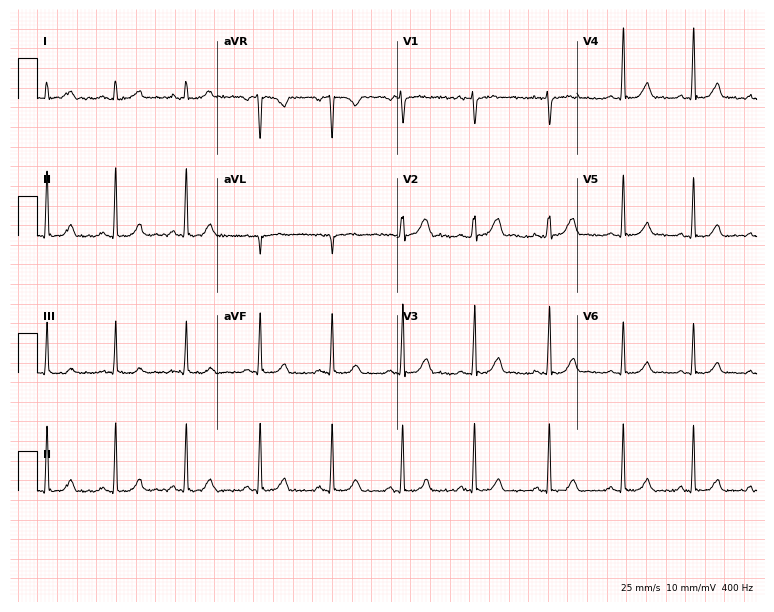
12-lead ECG from a female patient, 29 years old (7.3-second recording at 400 Hz). No first-degree AV block, right bundle branch block, left bundle branch block, sinus bradycardia, atrial fibrillation or sinus tachycardia recorded for this tracing.